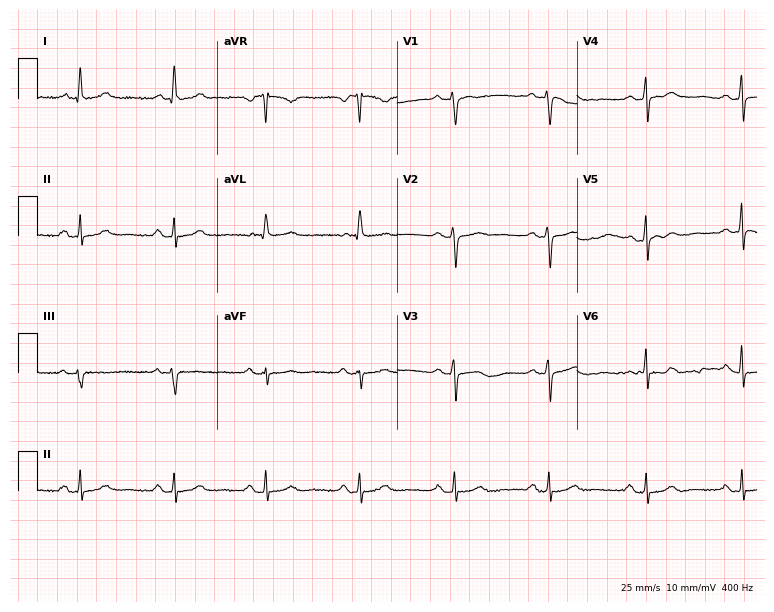
Resting 12-lead electrocardiogram. Patient: a 42-year-old female. Read as a normal ECG.